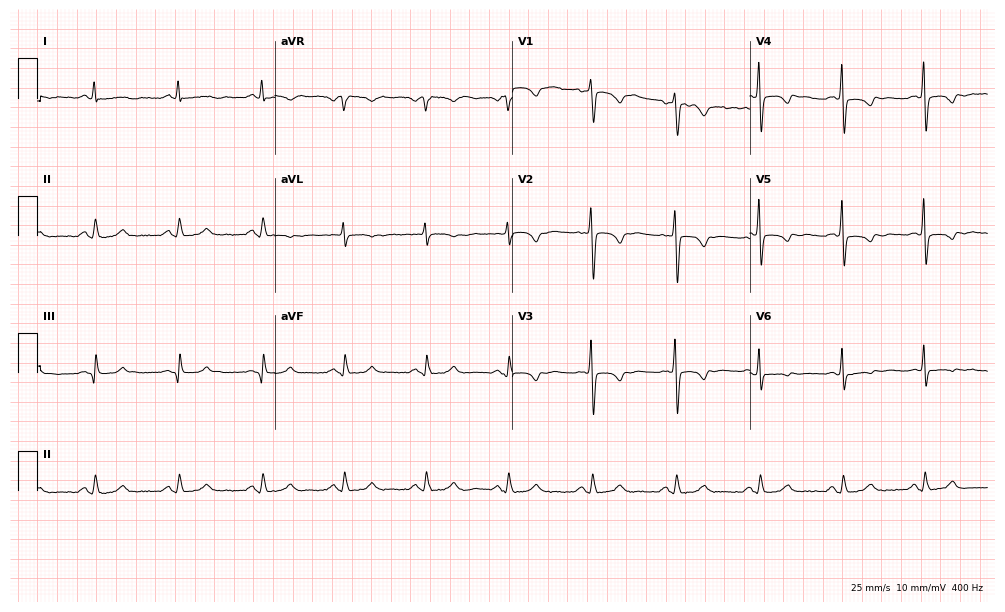
12-lead ECG from a man, 79 years old (9.7-second recording at 400 Hz). No first-degree AV block, right bundle branch block, left bundle branch block, sinus bradycardia, atrial fibrillation or sinus tachycardia recorded for this tracing.